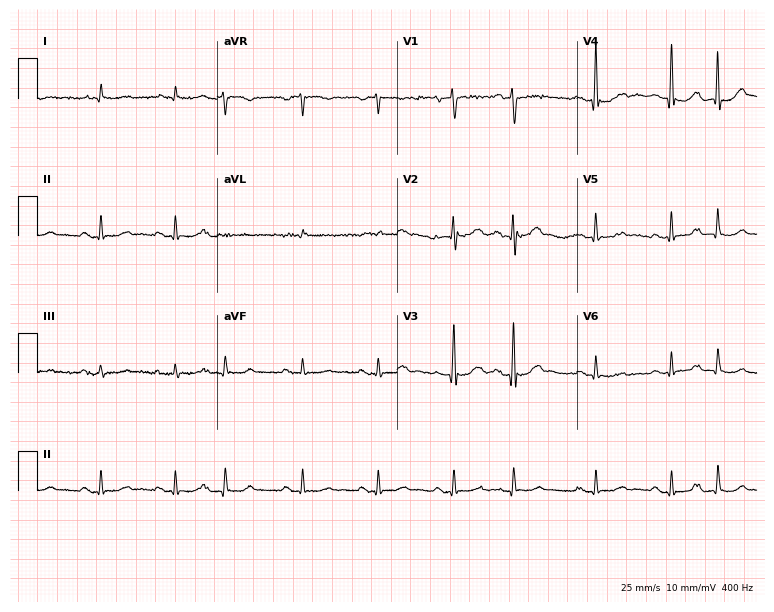
Standard 12-lead ECG recorded from a man, 85 years old. None of these six findings is recorded: first-degree AV block, right bundle branch block, left bundle branch block, sinus bradycardia, atrial fibrillation, sinus tachycardia. Only these six findings were labelled.